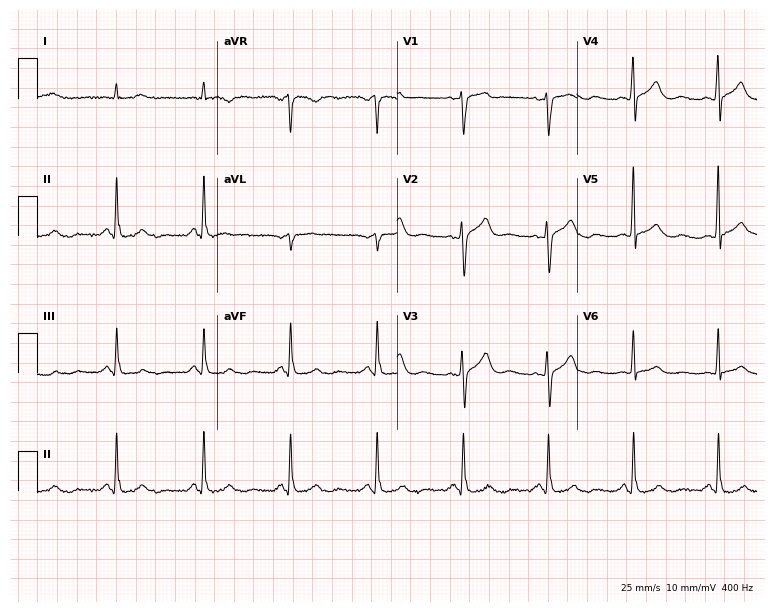
Electrocardiogram, a 60-year-old male. Overall reading on record: normal ECG.